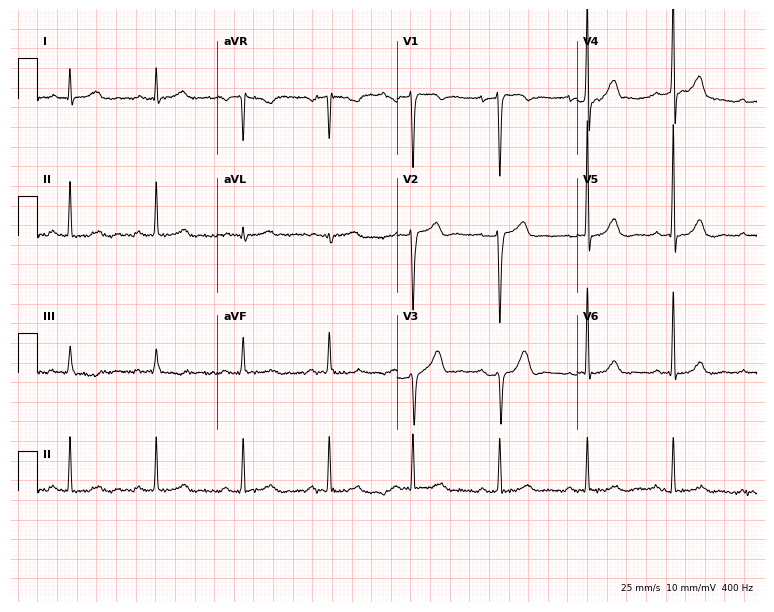
ECG (7.3-second recording at 400 Hz) — a 43-year-old man. Screened for six findings — first-degree AV block, right bundle branch block (RBBB), left bundle branch block (LBBB), sinus bradycardia, atrial fibrillation (AF), sinus tachycardia — none is recorded. Other findings, if any, are not listed.